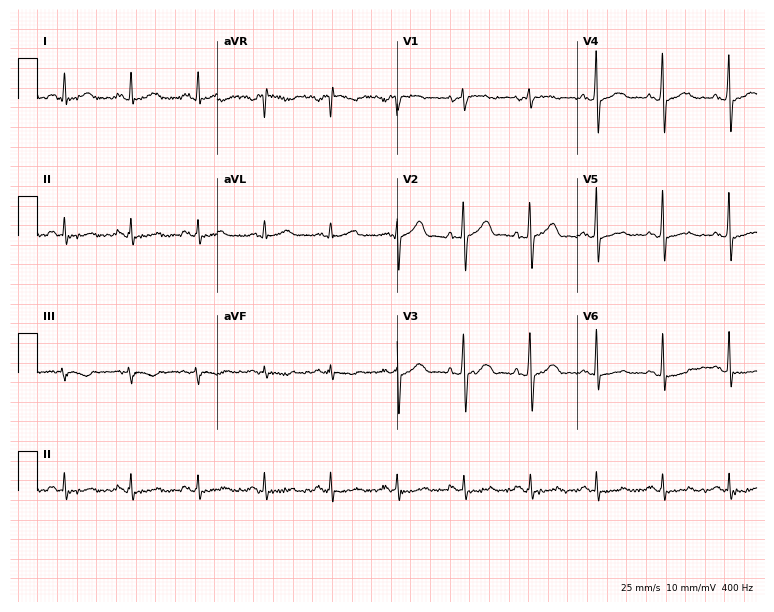
Resting 12-lead electrocardiogram (7.3-second recording at 400 Hz). Patient: a man, 46 years old. Read as a normal ECG.